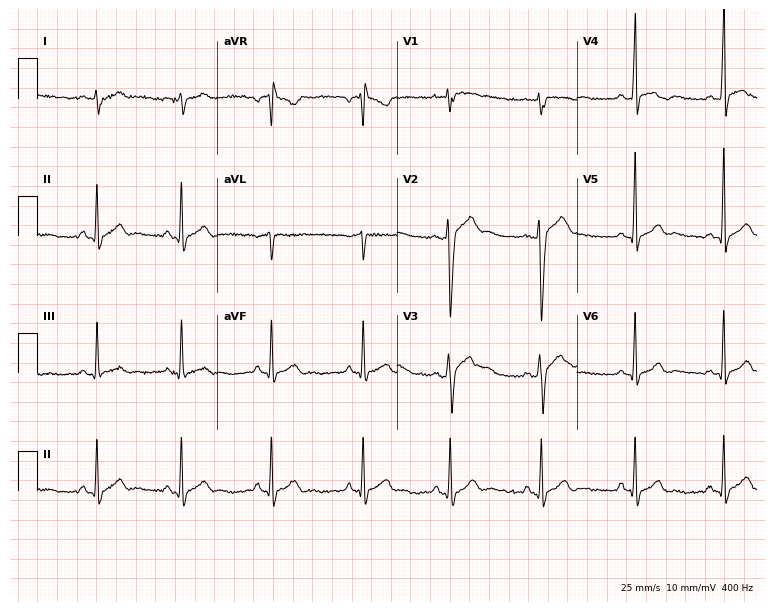
Electrocardiogram, a 25-year-old male patient. Of the six screened findings (first-degree AV block, right bundle branch block (RBBB), left bundle branch block (LBBB), sinus bradycardia, atrial fibrillation (AF), sinus tachycardia), none is recorded. Findings outside these six are not listed.